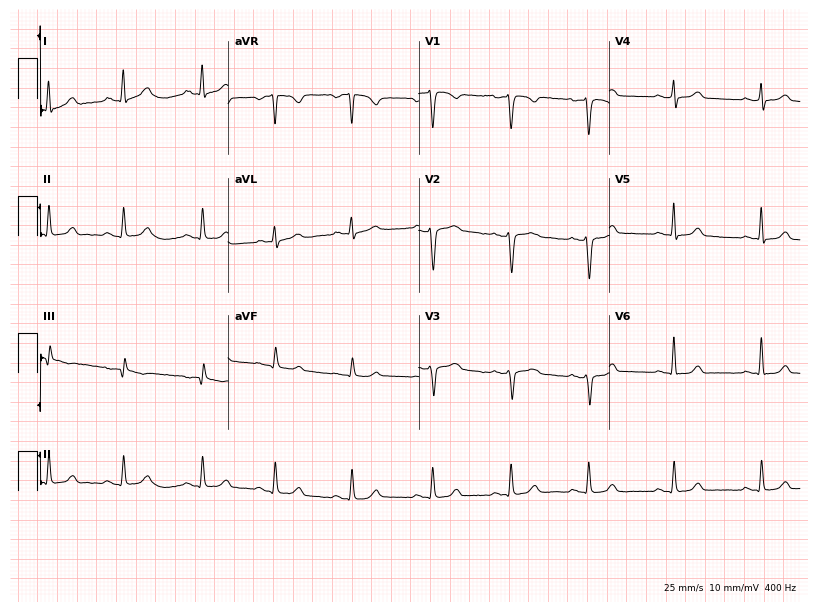
12-lead ECG from a woman, 37 years old. Labelled as a normal ECG.